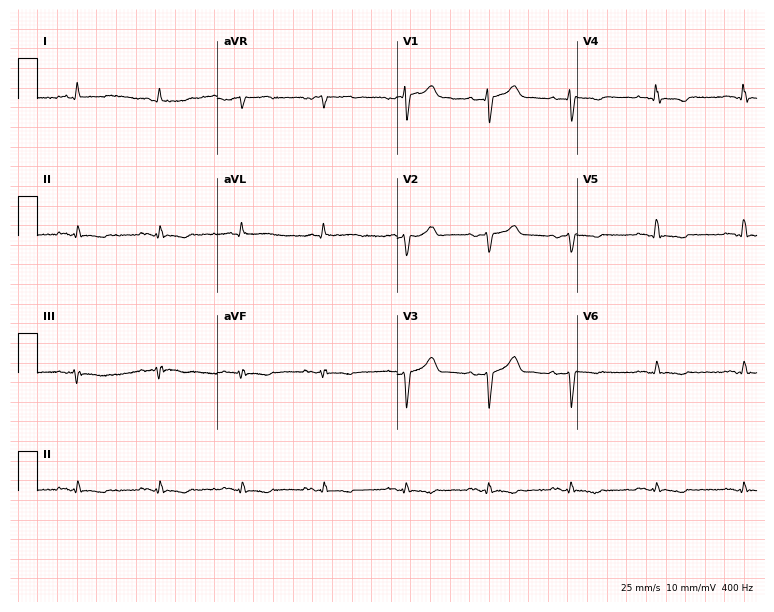
12-lead ECG from a 55-year-old male patient. Labelled as a normal ECG.